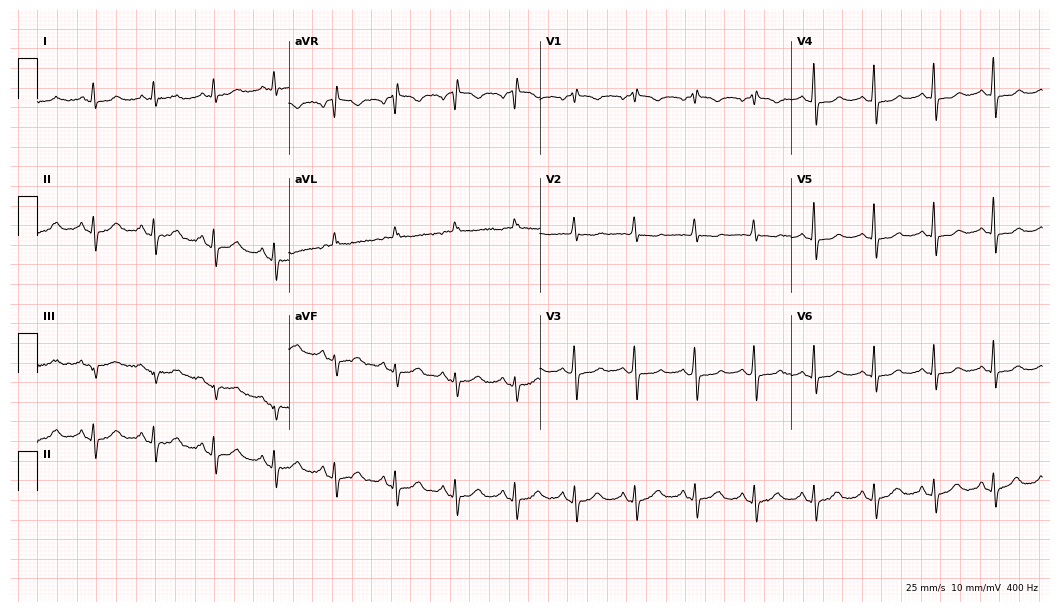
Resting 12-lead electrocardiogram (10.2-second recording at 400 Hz). Patient: a 67-year-old female. None of these six findings is recorded: first-degree AV block, right bundle branch block, left bundle branch block, sinus bradycardia, atrial fibrillation, sinus tachycardia.